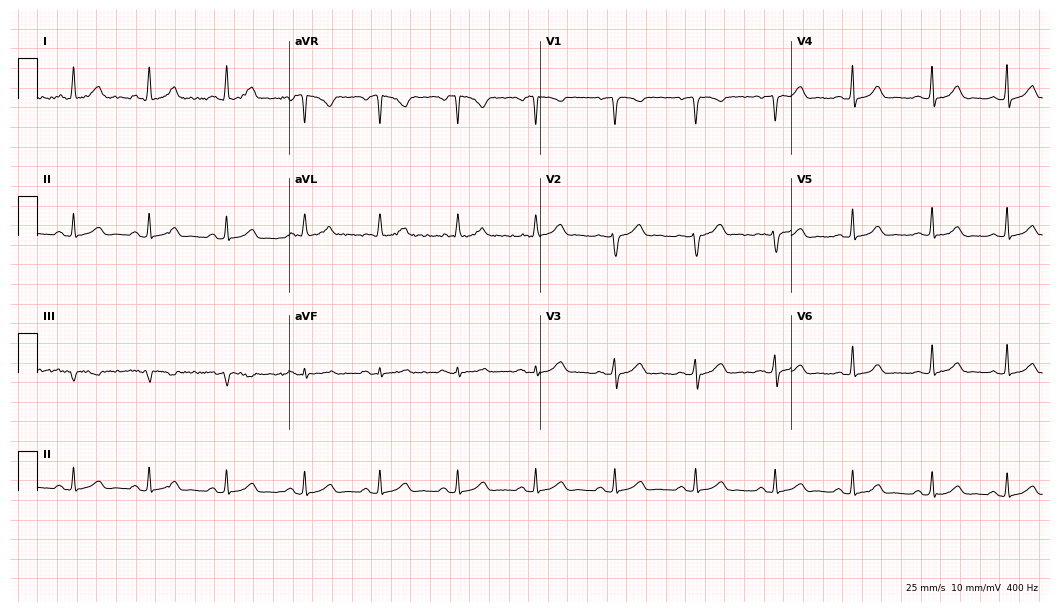
Standard 12-lead ECG recorded from a female, 39 years old (10.2-second recording at 400 Hz). Read as a normal ECG.